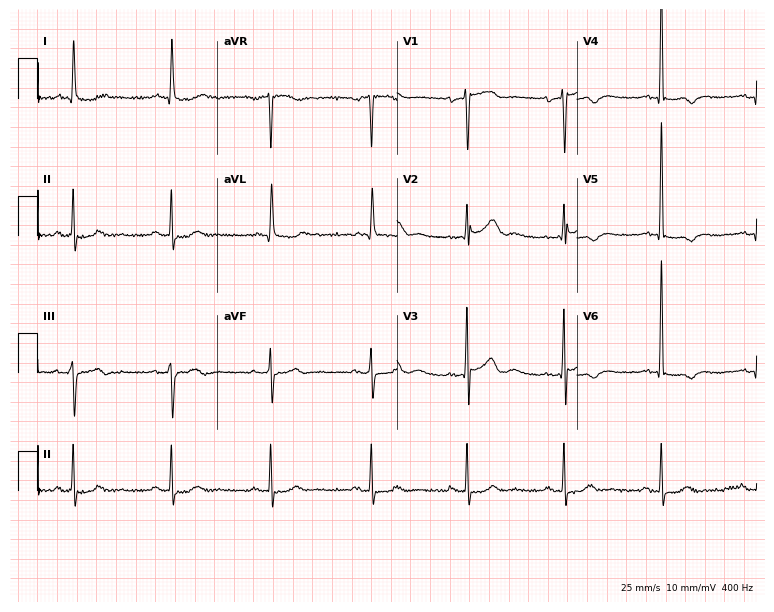
12-lead ECG from a woman, 73 years old. Screened for six findings — first-degree AV block, right bundle branch block (RBBB), left bundle branch block (LBBB), sinus bradycardia, atrial fibrillation (AF), sinus tachycardia — none is recorded.